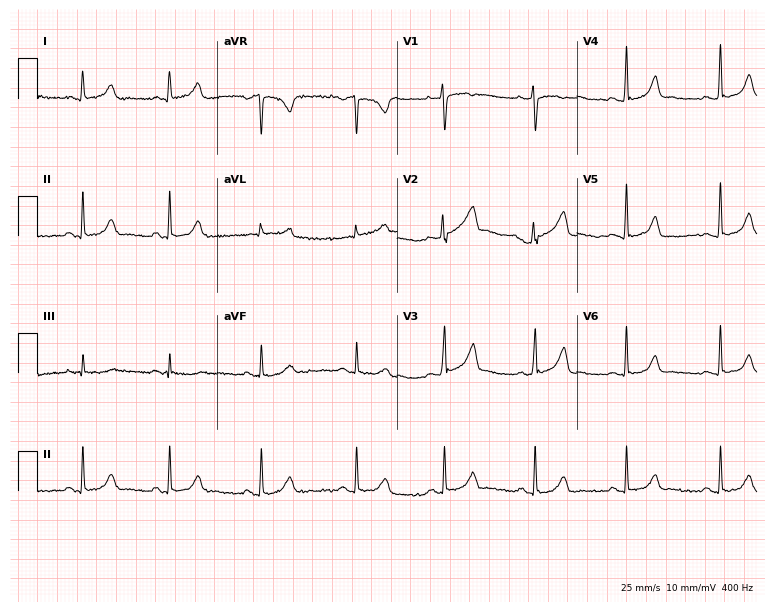
ECG — a 25-year-old female patient. Labelled as a normal ECG.